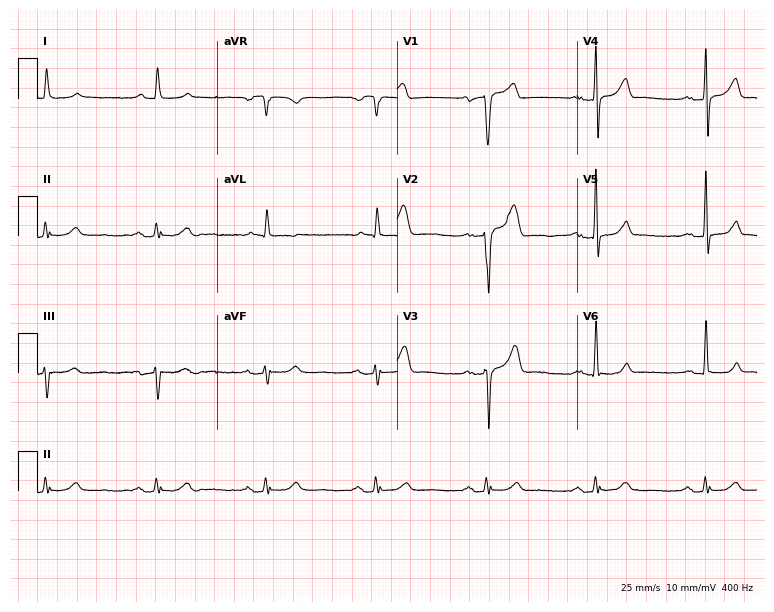
Resting 12-lead electrocardiogram (7.3-second recording at 400 Hz). Patient: a man, 63 years old. None of these six findings is recorded: first-degree AV block, right bundle branch block, left bundle branch block, sinus bradycardia, atrial fibrillation, sinus tachycardia.